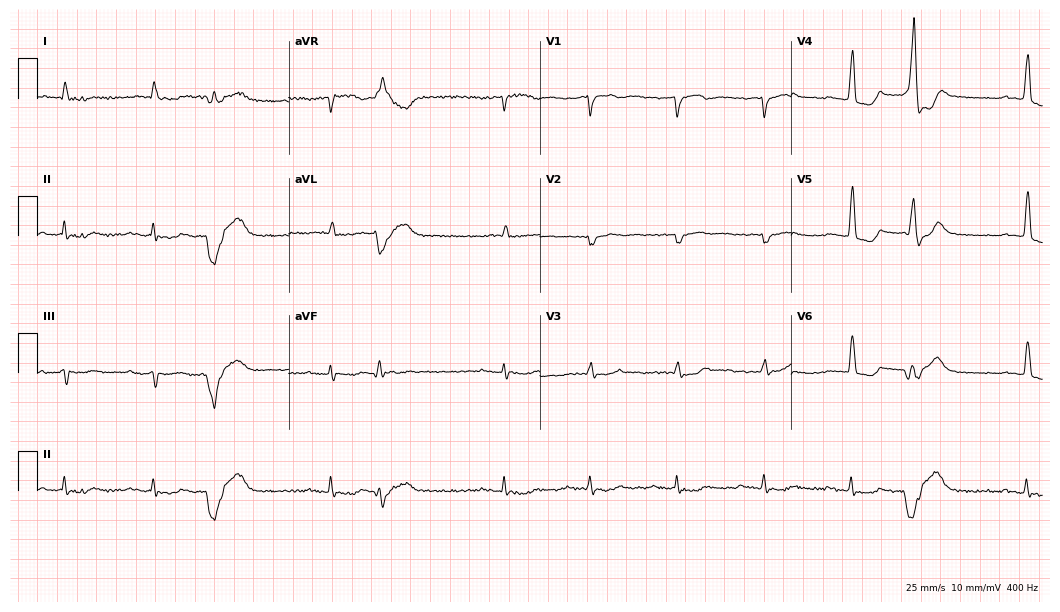
ECG — a 76-year-old man. Findings include first-degree AV block.